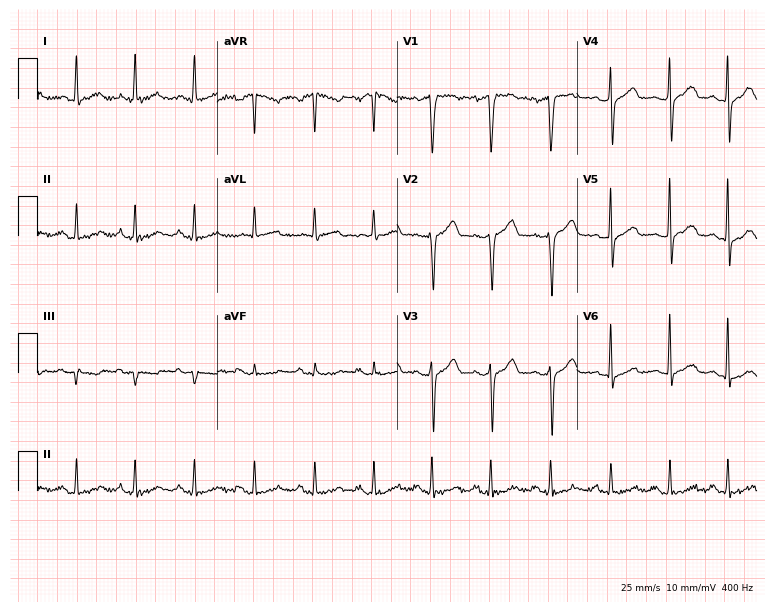
Electrocardiogram (7.3-second recording at 400 Hz), a 61-year-old man. Of the six screened findings (first-degree AV block, right bundle branch block, left bundle branch block, sinus bradycardia, atrial fibrillation, sinus tachycardia), none is recorded.